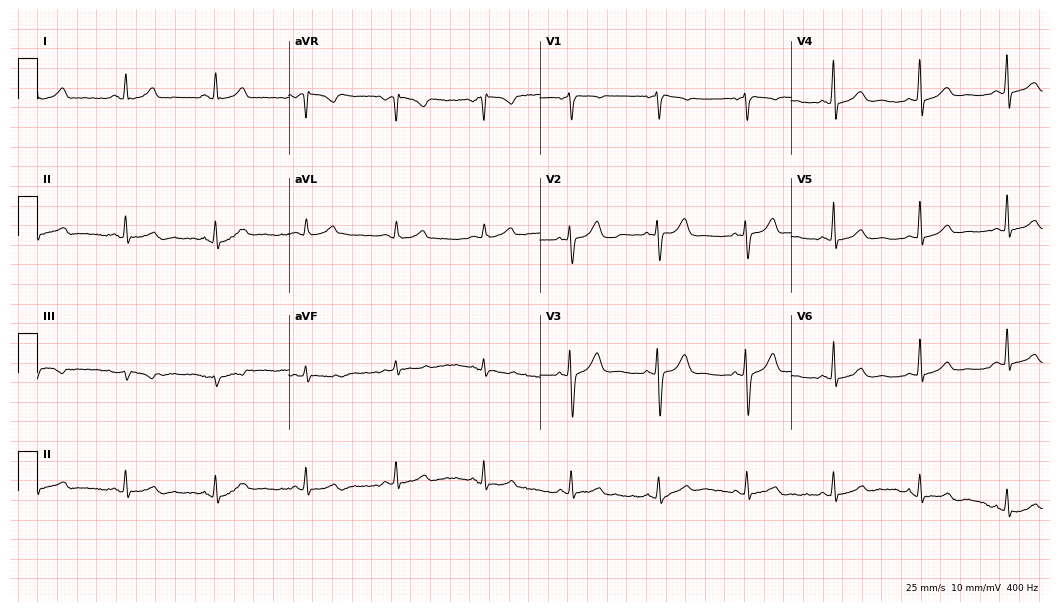
12-lead ECG from a 36-year-old woman. No first-degree AV block, right bundle branch block, left bundle branch block, sinus bradycardia, atrial fibrillation or sinus tachycardia recorded for this tracing. Only these six findings were labelled.